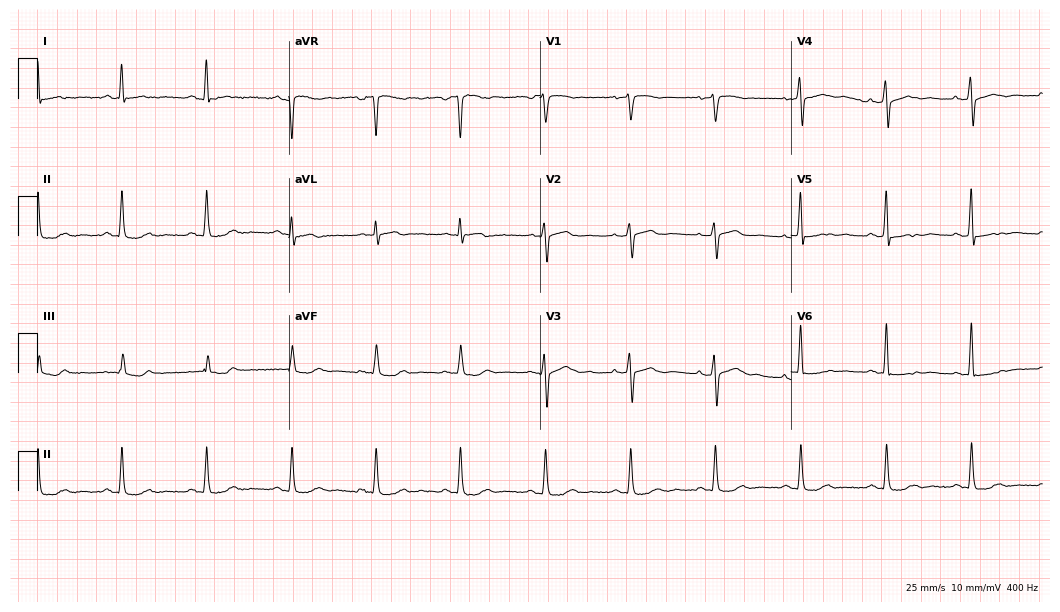
Standard 12-lead ECG recorded from a 61-year-old woman. None of these six findings is recorded: first-degree AV block, right bundle branch block, left bundle branch block, sinus bradycardia, atrial fibrillation, sinus tachycardia. Other findings, if any, are not listed.